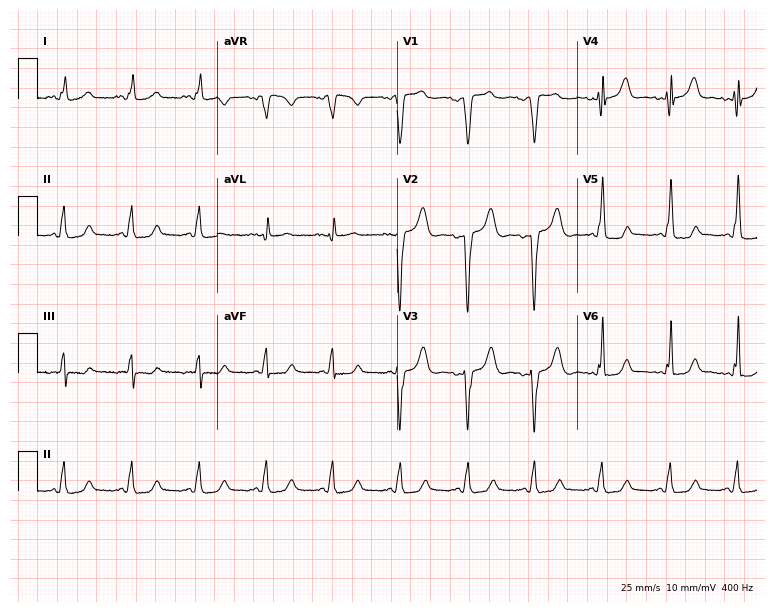
Resting 12-lead electrocardiogram. Patient: a 33-year-old female. None of these six findings is recorded: first-degree AV block, right bundle branch block, left bundle branch block, sinus bradycardia, atrial fibrillation, sinus tachycardia.